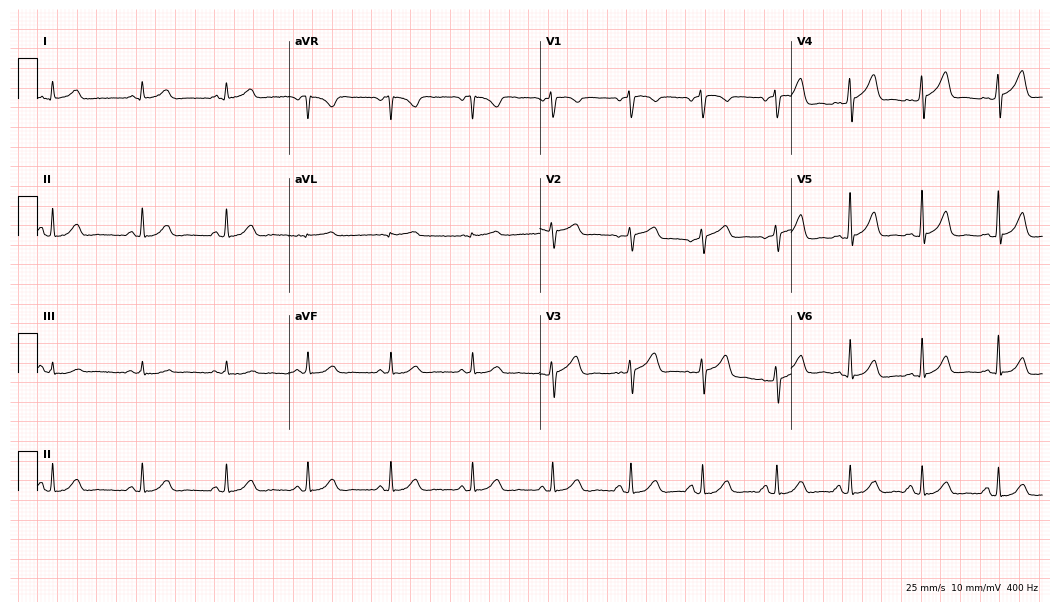
Standard 12-lead ECG recorded from a 44-year-old female patient. None of these six findings is recorded: first-degree AV block, right bundle branch block (RBBB), left bundle branch block (LBBB), sinus bradycardia, atrial fibrillation (AF), sinus tachycardia.